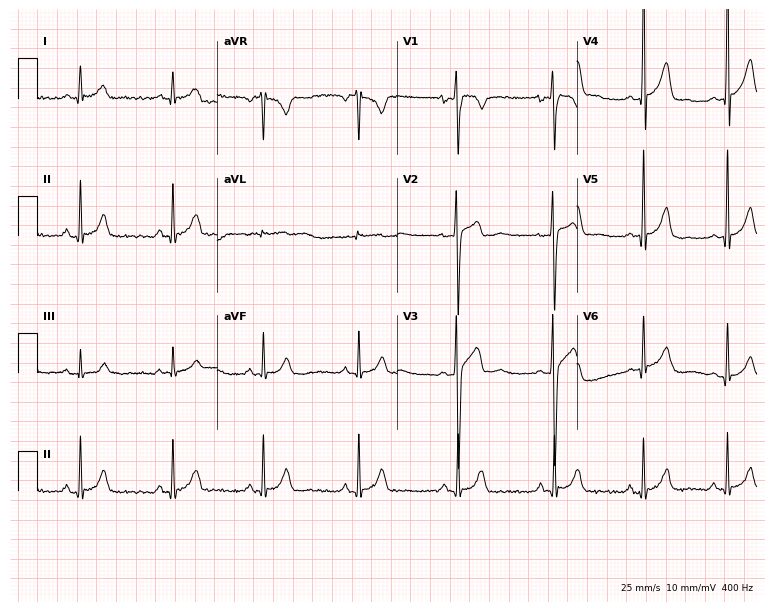
Electrocardiogram (7.3-second recording at 400 Hz), a man, 17 years old. Of the six screened findings (first-degree AV block, right bundle branch block (RBBB), left bundle branch block (LBBB), sinus bradycardia, atrial fibrillation (AF), sinus tachycardia), none is recorded.